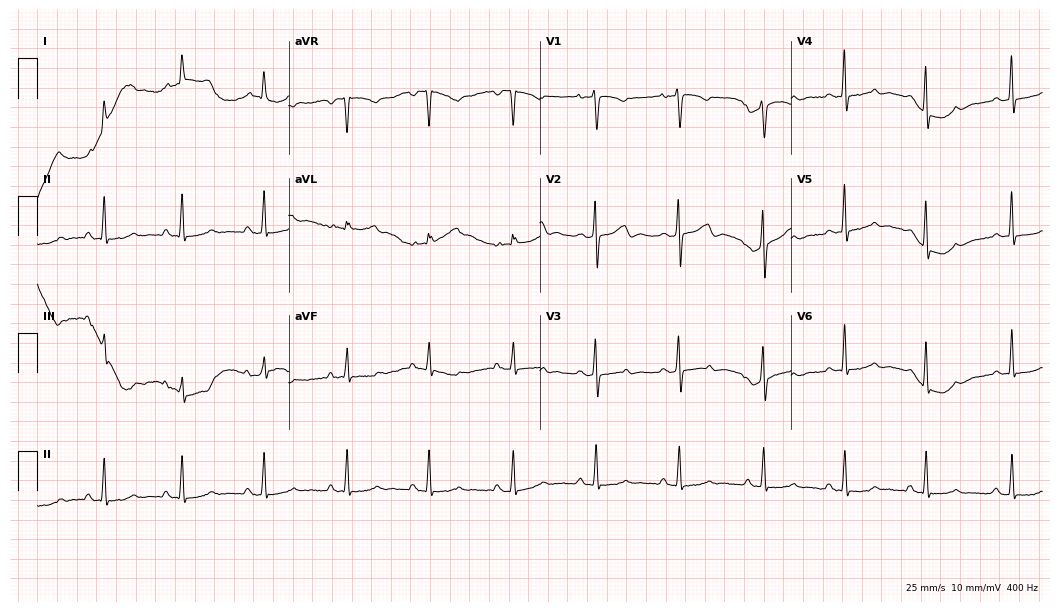
12-lead ECG from a 48-year-old woman. Screened for six findings — first-degree AV block, right bundle branch block, left bundle branch block, sinus bradycardia, atrial fibrillation, sinus tachycardia — none is recorded.